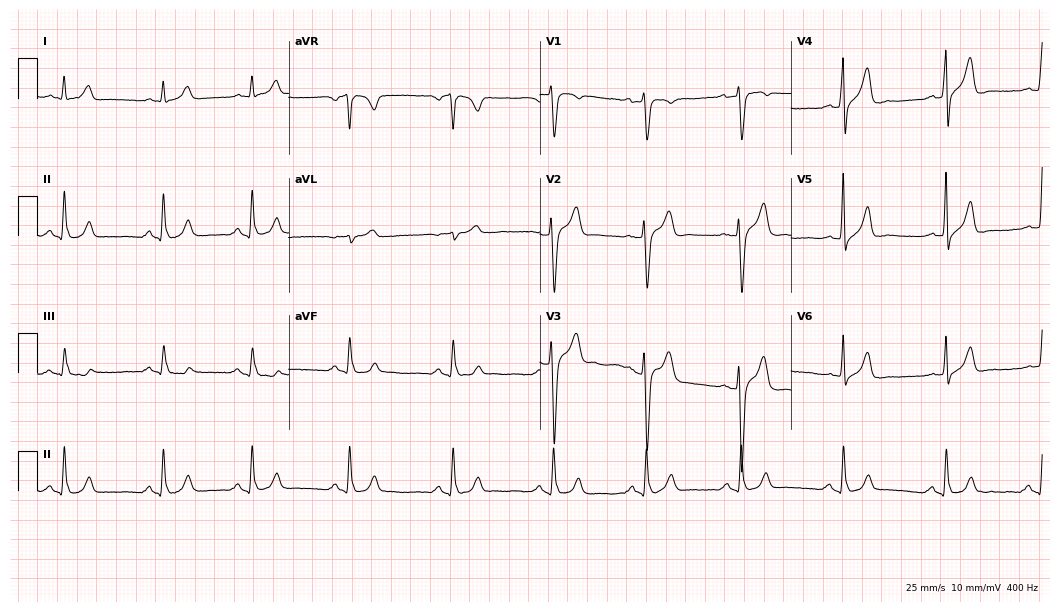
ECG (10.2-second recording at 400 Hz) — a male, 29 years old. Screened for six findings — first-degree AV block, right bundle branch block (RBBB), left bundle branch block (LBBB), sinus bradycardia, atrial fibrillation (AF), sinus tachycardia — none is recorded.